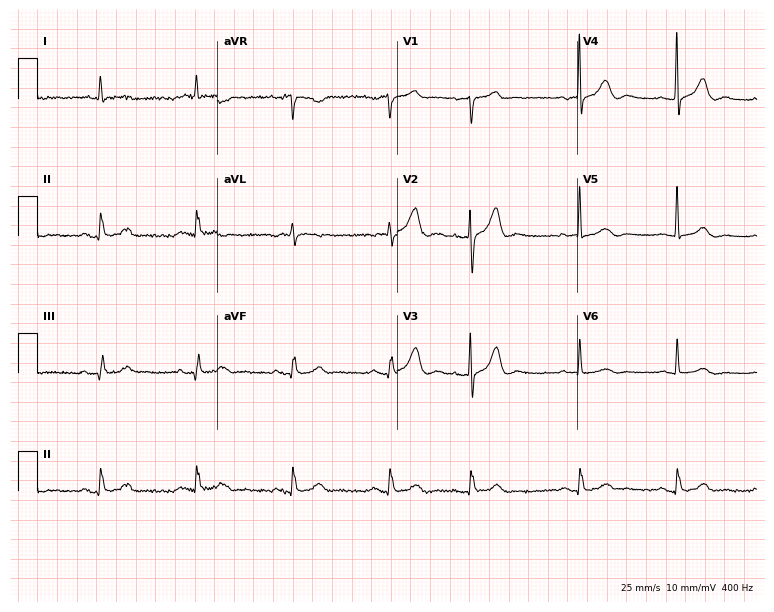
12-lead ECG from a man, 84 years old. Screened for six findings — first-degree AV block, right bundle branch block, left bundle branch block, sinus bradycardia, atrial fibrillation, sinus tachycardia — none is recorded.